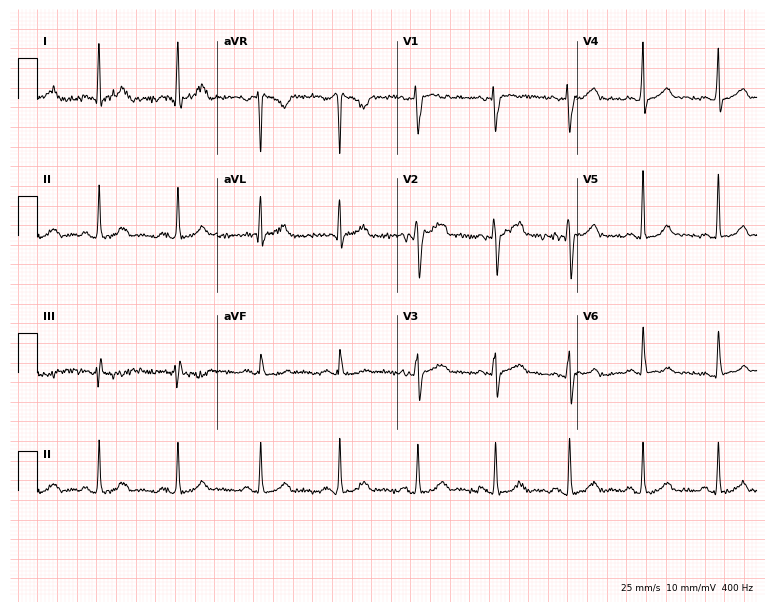
Electrocardiogram (7.3-second recording at 400 Hz), a female patient, 22 years old. Overall reading on record: normal ECG.